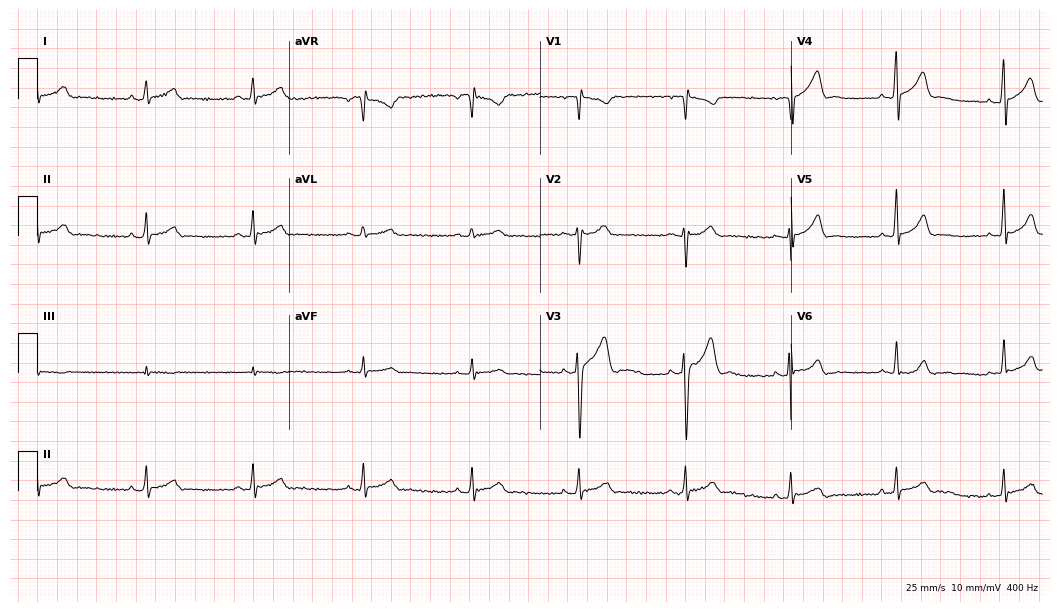
Standard 12-lead ECG recorded from a 28-year-old male (10.2-second recording at 400 Hz). Read as a normal ECG.